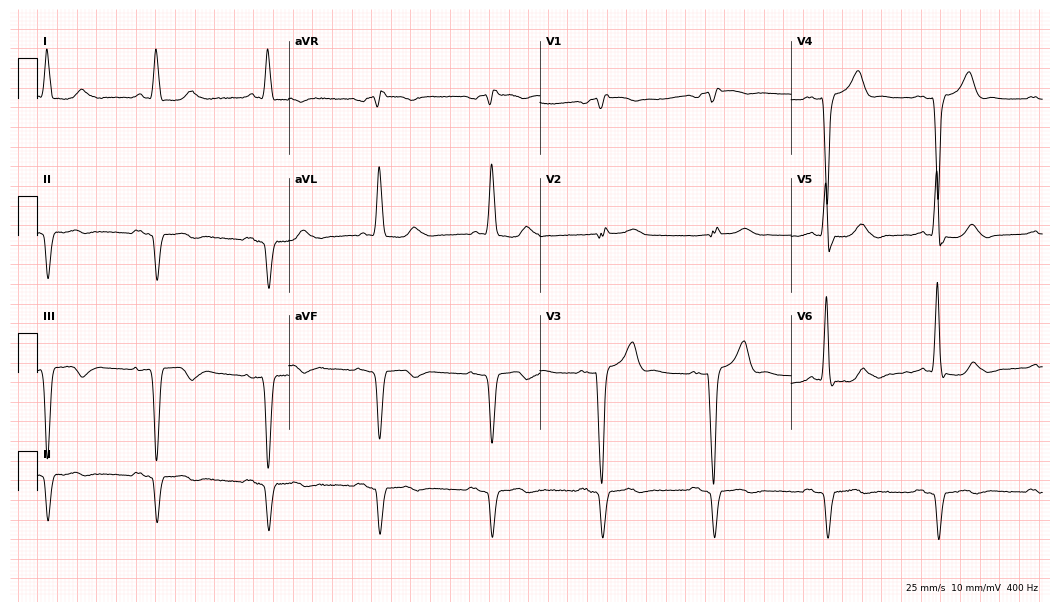
Electrocardiogram (10.2-second recording at 400 Hz), a 79-year-old male. Interpretation includes left bundle branch block (LBBB).